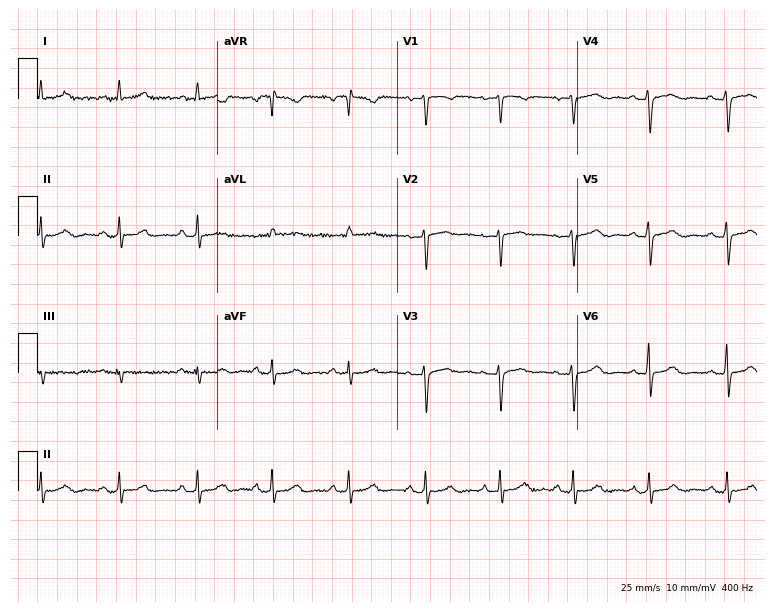
Resting 12-lead electrocardiogram. Patient: a male, 35 years old. None of these six findings is recorded: first-degree AV block, right bundle branch block, left bundle branch block, sinus bradycardia, atrial fibrillation, sinus tachycardia. Findings outside these six are not listed.